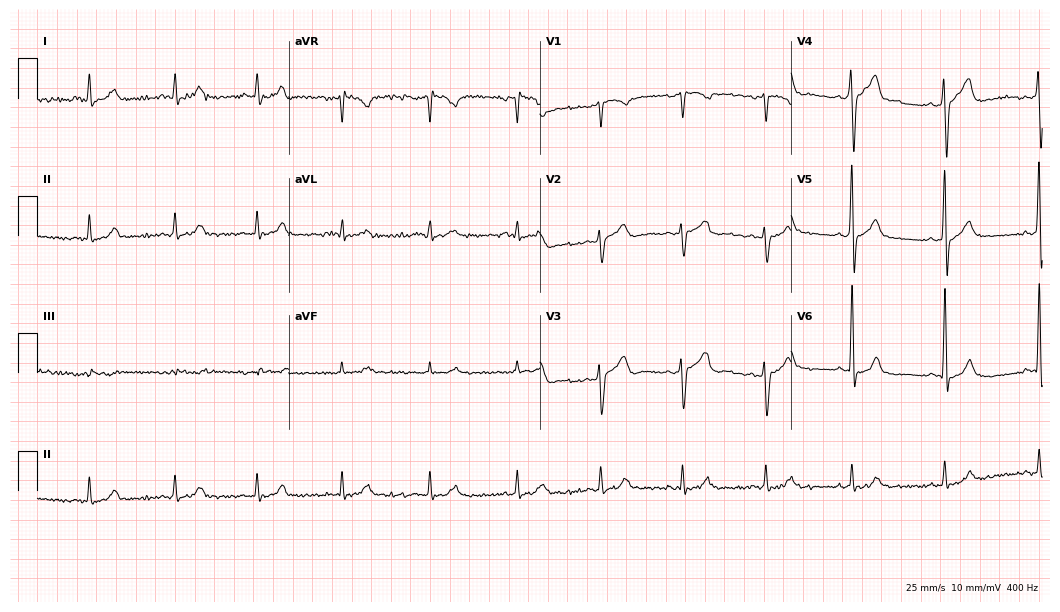
12-lead ECG (10.2-second recording at 400 Hz) from a man, 30 years old. Labelled as a normal ECG.